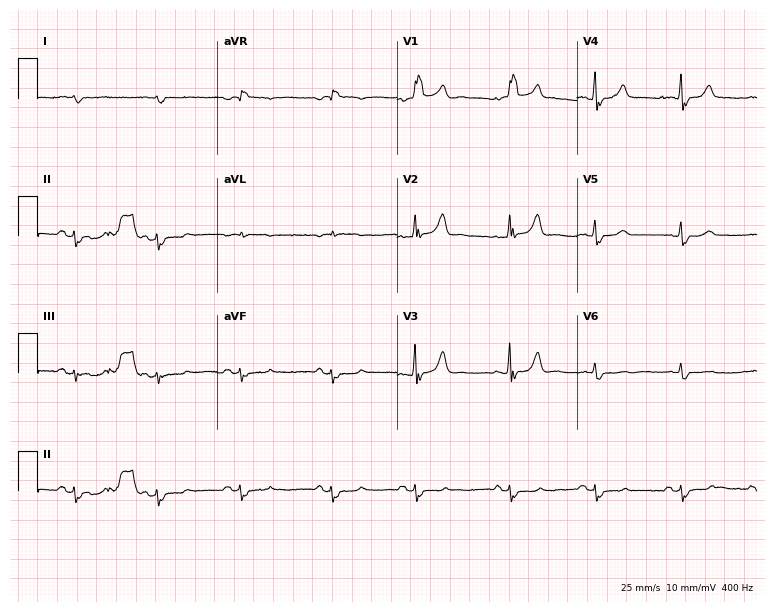
ECG — a male patient, 83 years old. Findings include right bundle branch block.